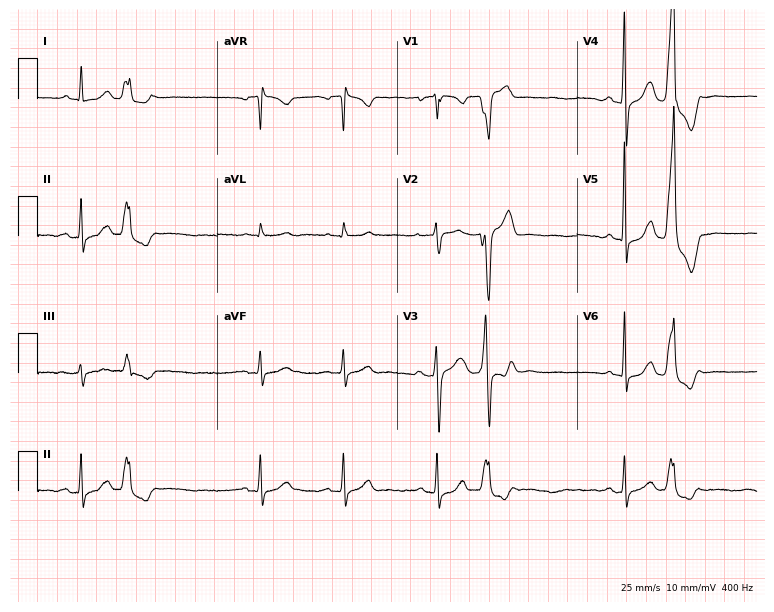
12-lead ECG from a male patient, 53 years old (7.3-second recording at 400 Hz). Recorded interpretation: within normal limits.